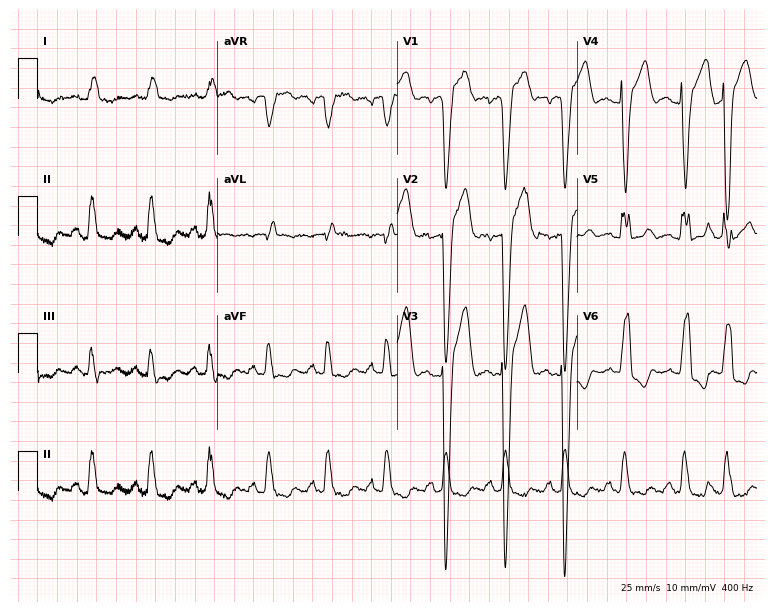
Resting 12-lead electrocardiogram (7.3-second recording at 400 Hz). Patient: a male, 78 years old. The tracing shows left bundle branch block, sinus tachycardia (a sinus rate of 100 beats per minute or more).